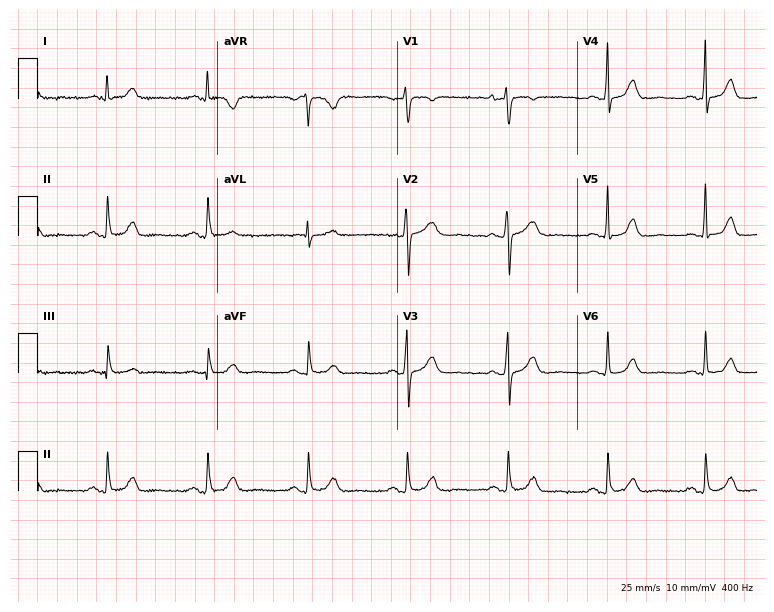
Electrocardiogram, a 39-year-old female. Of the six screened findings (first-degree AV block, right bundle branch block, left bundle branch block, sinus bradycardia, atrial fibrillation, sinus tachycardia), none is recorded. Other findings, if any, are not listed.